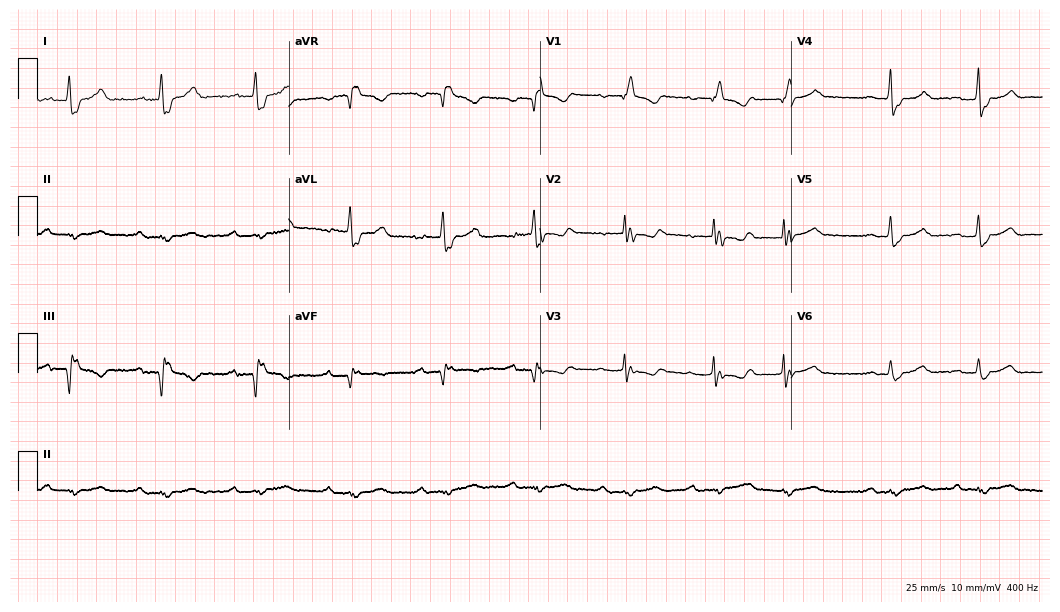
Standard 12-lead ECG recorded from a female, 73 years old. The tracing shows first-degree AV block, right bundle branch block.